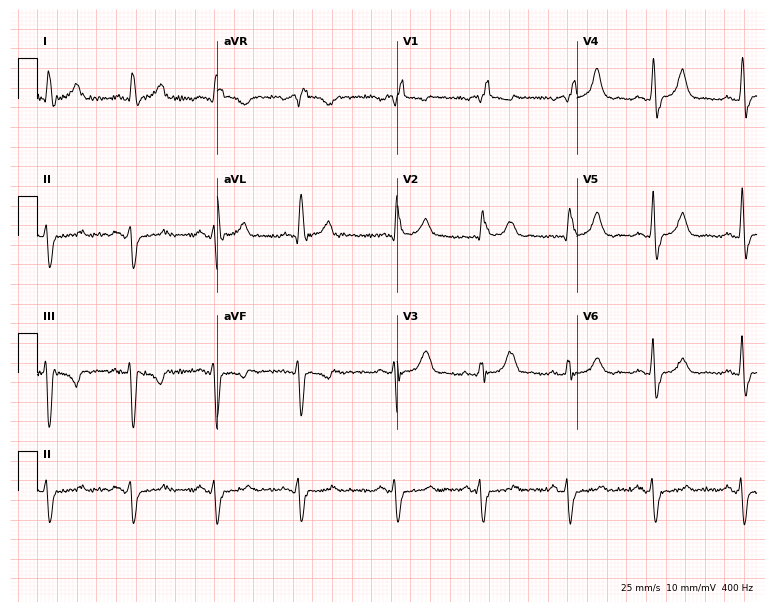
Electrocardiogram (7.3-second recording at 400 Hz), an 80-year-old man. Of the six screened findings (first-degree AV block, right bundle branch block, left bundle branch block, sinus bradycardia, atrial fibrillation, sinus tachycardia), none is recorded.